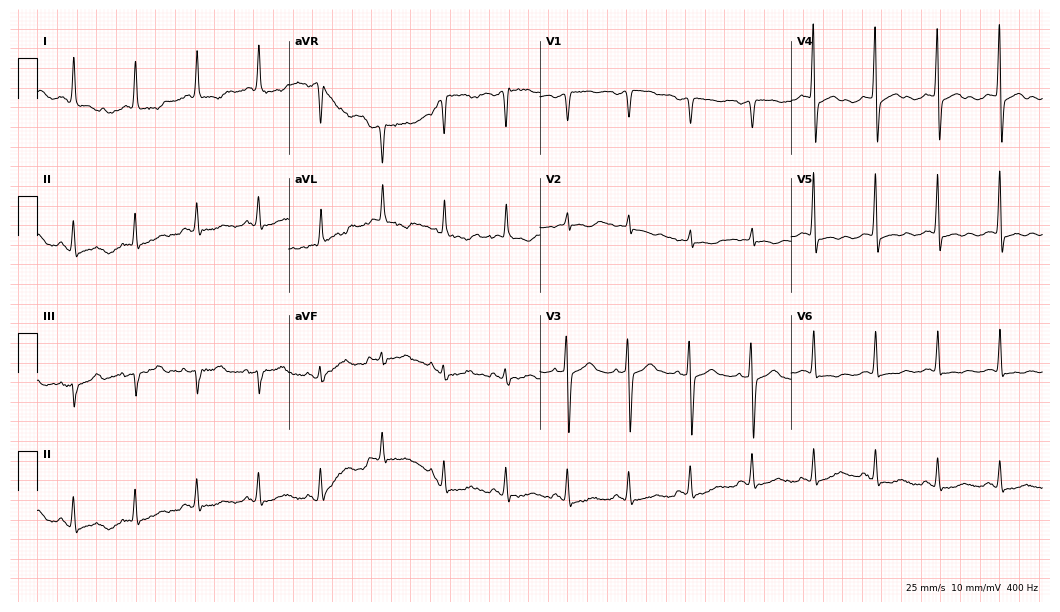
Resting 12-lead electrocardiogram. Patient: an 84-year-old female. None of these six findings is recorded: first-degree AV block, right bundle branch block, left bundle branch block, sinus bradycardia, atrial fibrillation, sinus tachycardia.